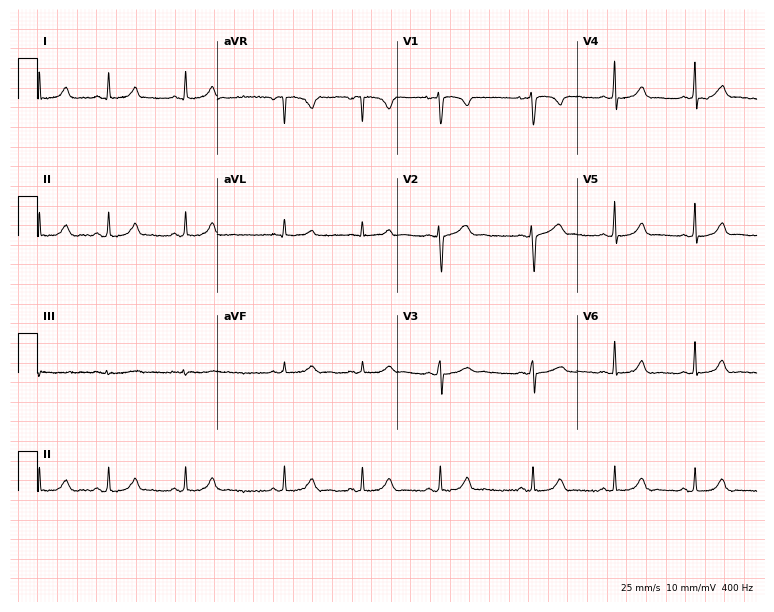
ECG — a 24-year-old female patient. Screened for six findings — first-degree AV block, right bundle branch block, left bundle branch block, sinus bradycardia, atrial fibrillation, sinus tachycardia — none is recorded. Other findings, if any, are not listed.